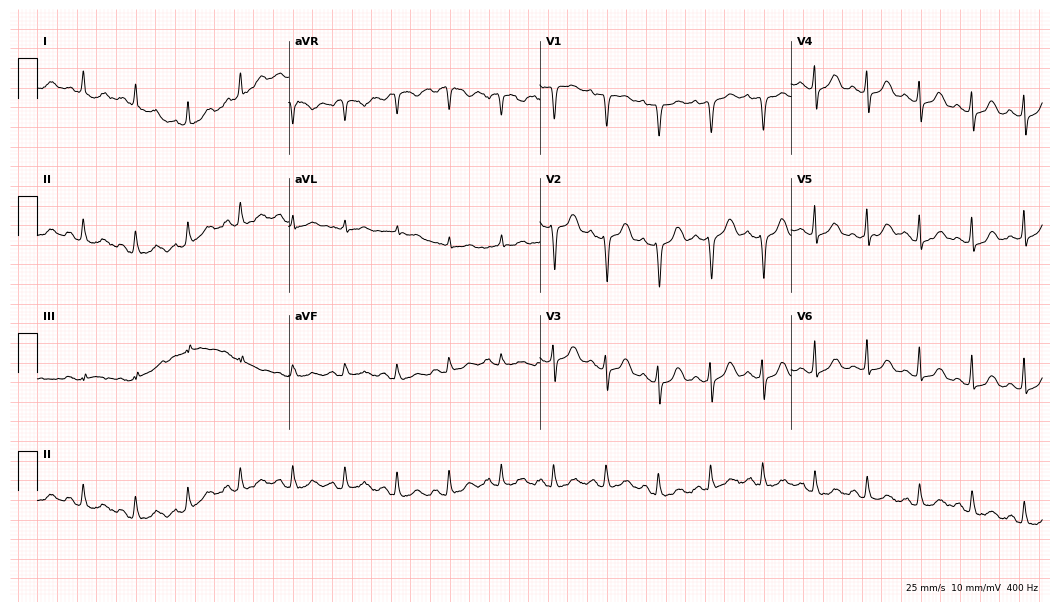
12-lead ECG (10.2-second recording at 400 Hz) from a 64-year-old female patient. Findings include sinus tachycardia (a sinus rate of 100 beats per minute or more).